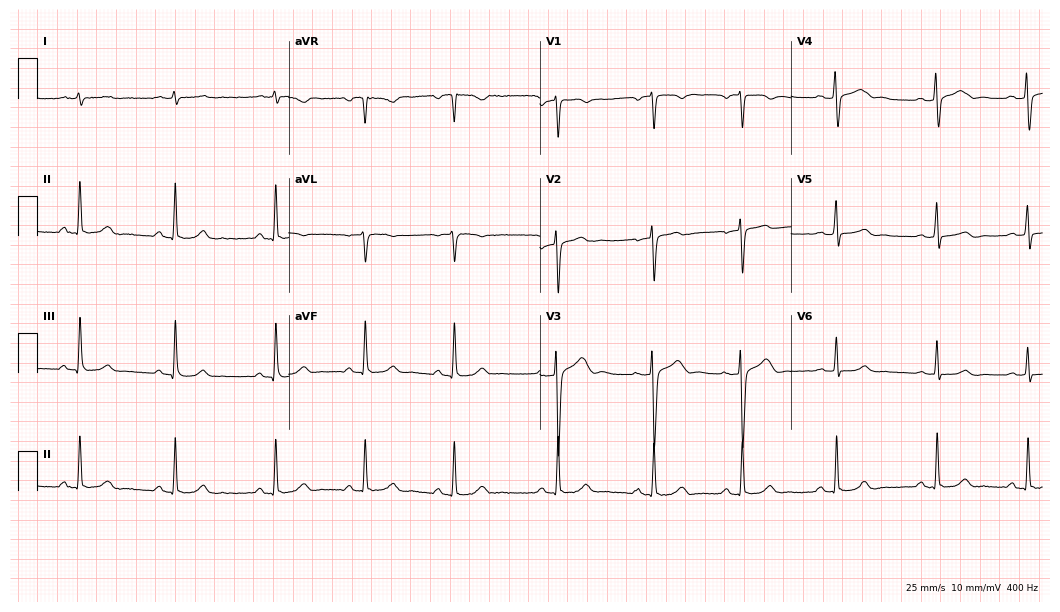
12-lead ECG (10.2-second recording at 400 Hz) from a 35-year-old male patient. Screened for six findings — first-degree AV block, right bundle branch block, left bundle branch block, sinus bradycardia, atrial fibrillation, sinus tachycardia — none is recorded.